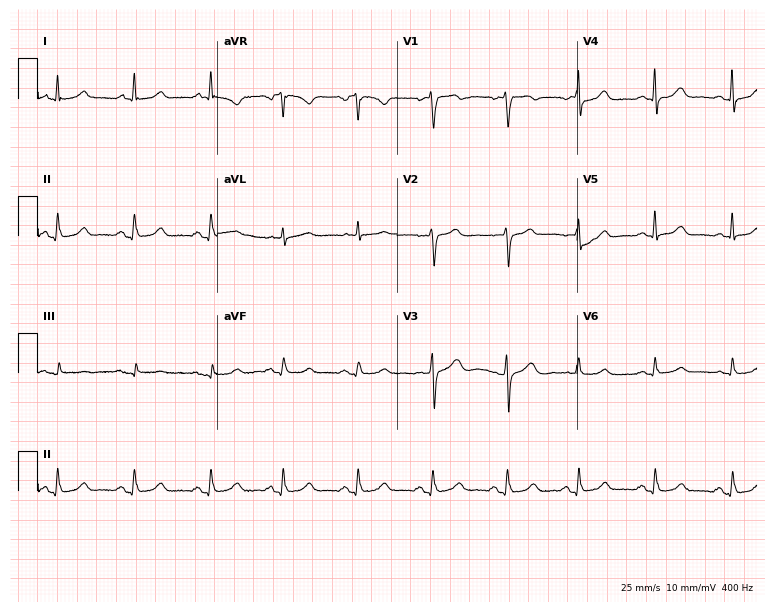
12-lead ECG from a female patient, 66 years old. Recorded interpretation: within normal limits.